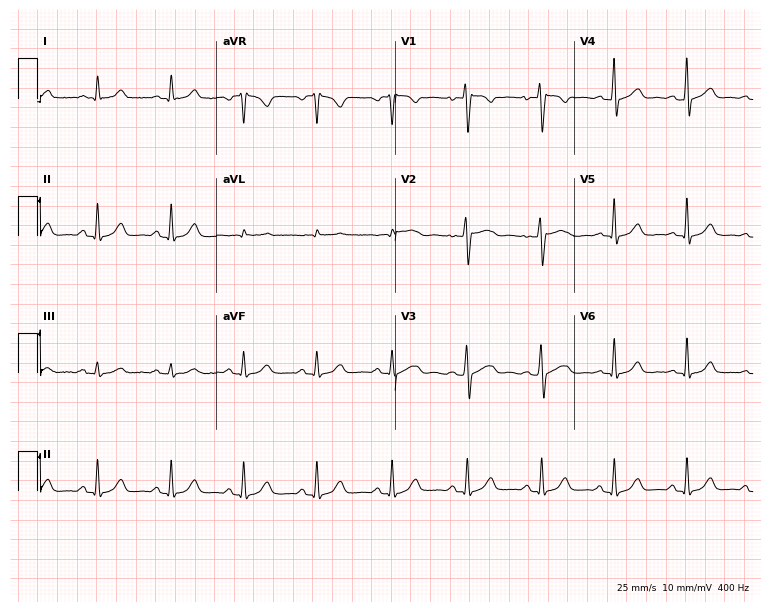
ECG — a female, 48 years old. Screened for six findings — first-degree AV block, right bundle branch block, left bundle branch block, sinus bradycardia, atrial fibrillation, sinus tachycardia — none is recorded.